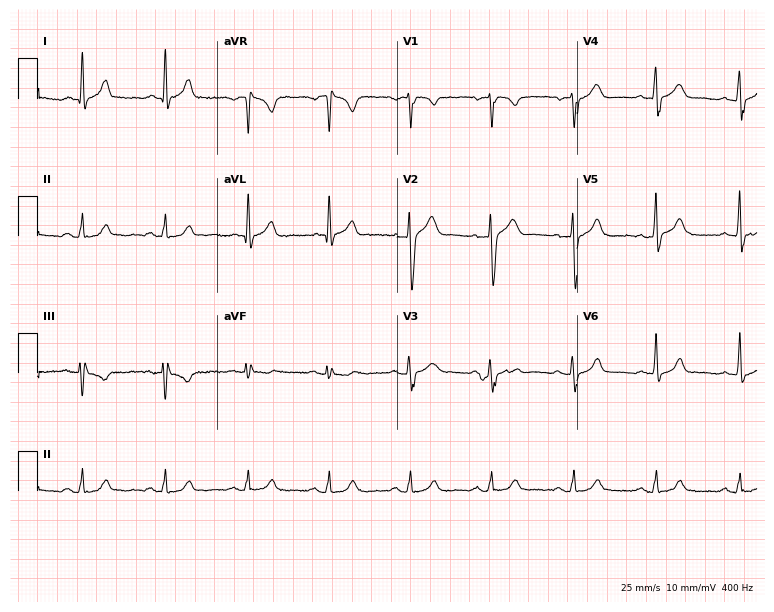
Electrocardiogram (7.3-second recording at 400 Hz), a man, 54 years old. Overall reading on record: normal ECG.